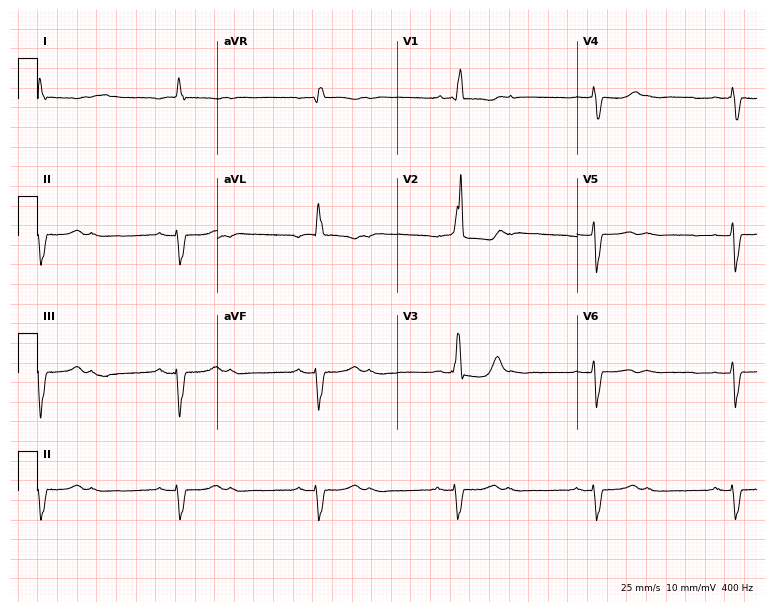
Standard 12-lead ECG recorded from a woman, 42 years old. The tracing shows right bundle branch block, sinus bradycardia (a sinus rate of 50 beats per minute or less).